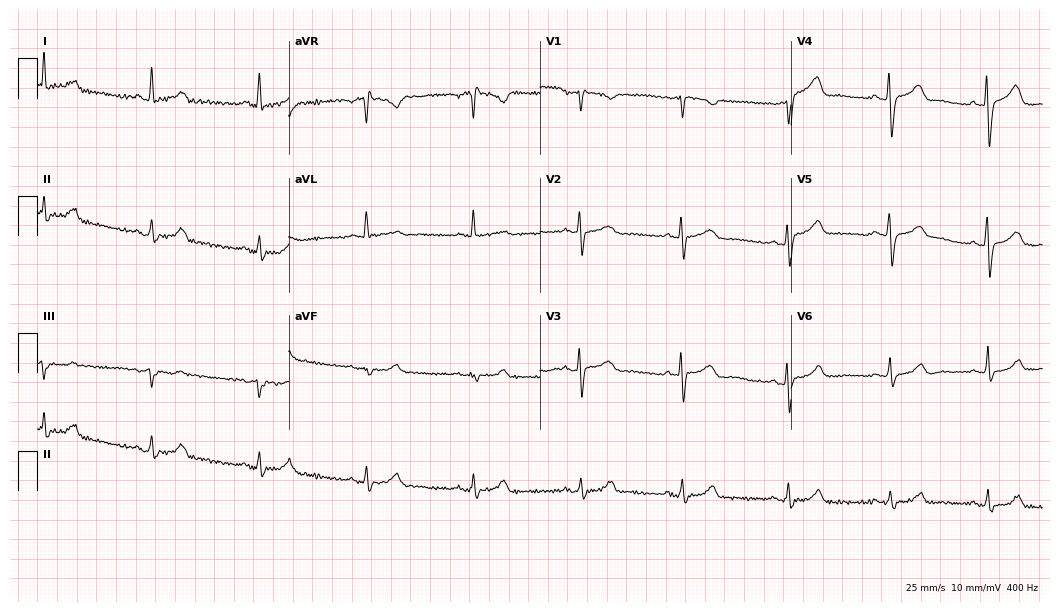
ECG (10.2-second recording at 400 Hz) — a female, 34 years old. Labelled as a normal ECG.